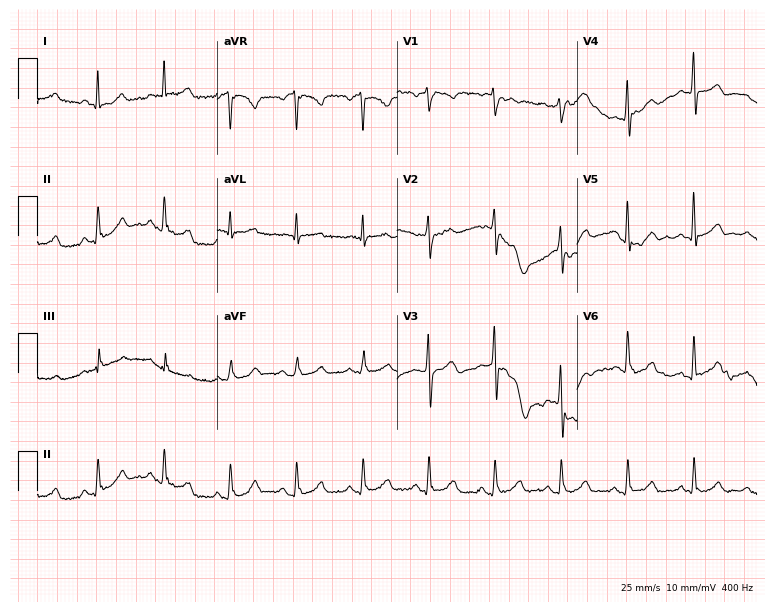
Standard 12-lead ECG recorded from a male patient, 55 years old (7.3-second recording at 400 Hz). Read as a normal ECG.